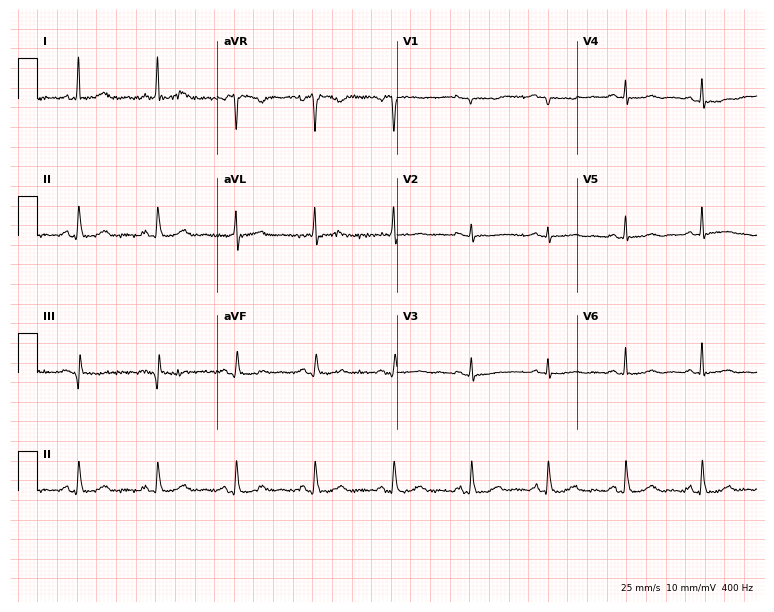
Standard 12-lead ECG recorded from a 75-year-old female patient (7.3-second recording at 400 Hz). Read as a normal ECG.